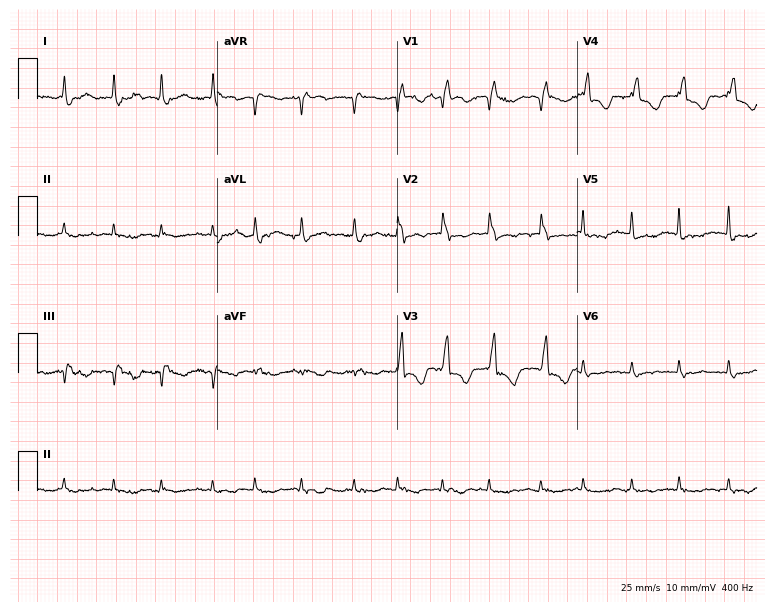
ECG — a woman, 81 years old. Findings include right bundle branch block, atrial fibrillation.